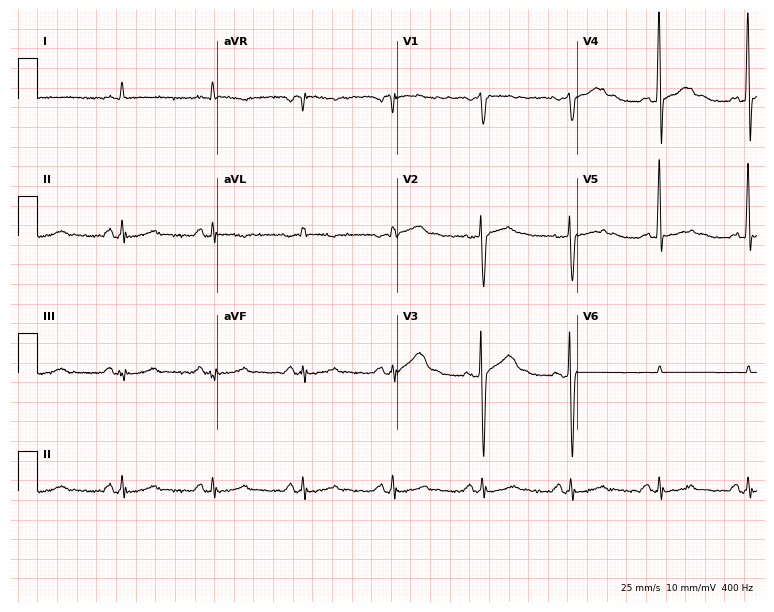
Standard 12-lead ECG recorded from a man, 44 years old (7.3-second recording at 400 Hz). None of these six findings is recorded: first-degree AV block, right bundle branch block, left bundle branch block, sinus bradycardia, atrial fibrillation, sinus tachycardia.